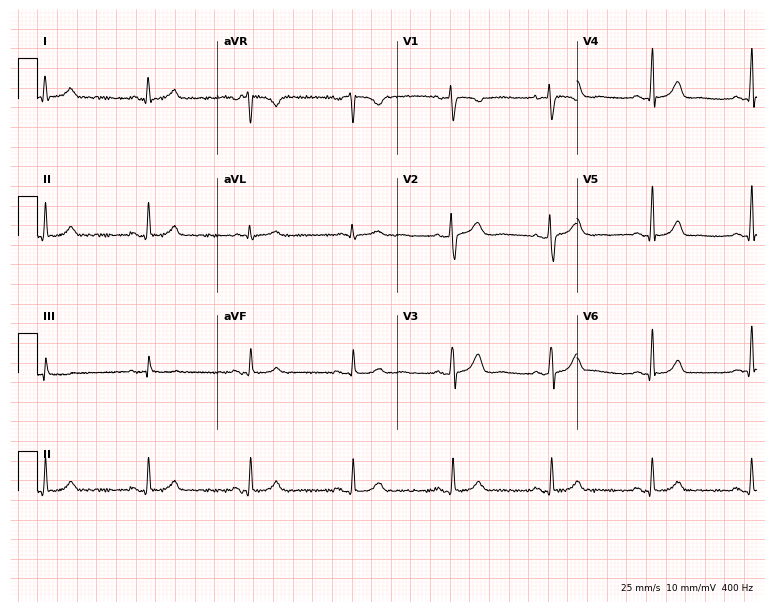
12-lead ECG from a female, 37 years old. No first-degree AV block, right bundle branch block (RBBB), left bundle branch block (LBBB), sinus bradycardia, atrial fibrillation (AF) or sinus tachycardia recorded for this tracing.